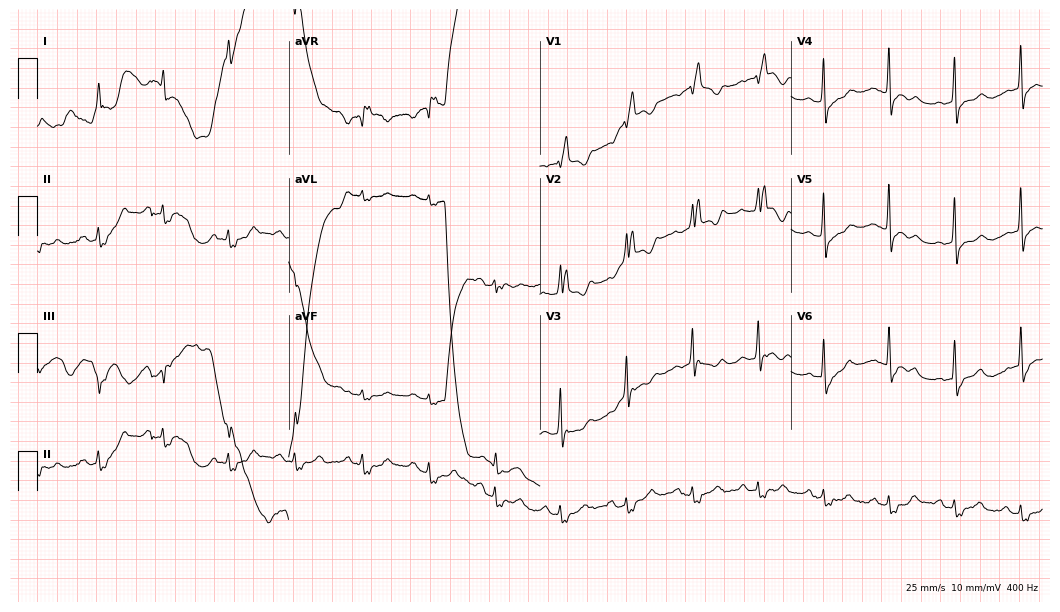
Standard 12-lead ECG recorded from a 52-year-old male. None of these six findings is recorded: first-degree AV block, right bundle branch block (RBBB), left bundle branch block (LBBB), sinus bradycardia, atrial fibrillation (AF), sinus tachycardia. Only these six findings were labelled.